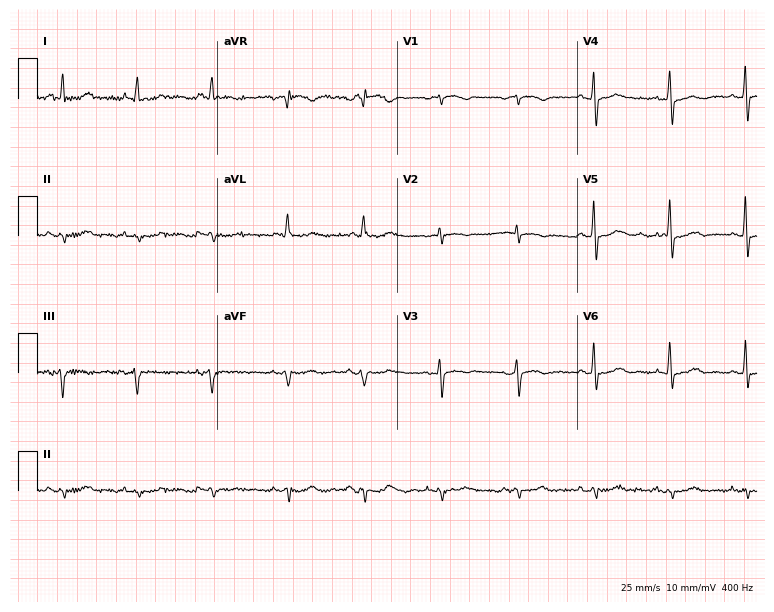
Standard 12-lead ECG recorded from a female, 70 years old. None of these six findings is recorded: first-degree AV block, right bundle branch block, left bundle branch block, sinus bradycardia, atrial fibrillation, sinus tachycardia.